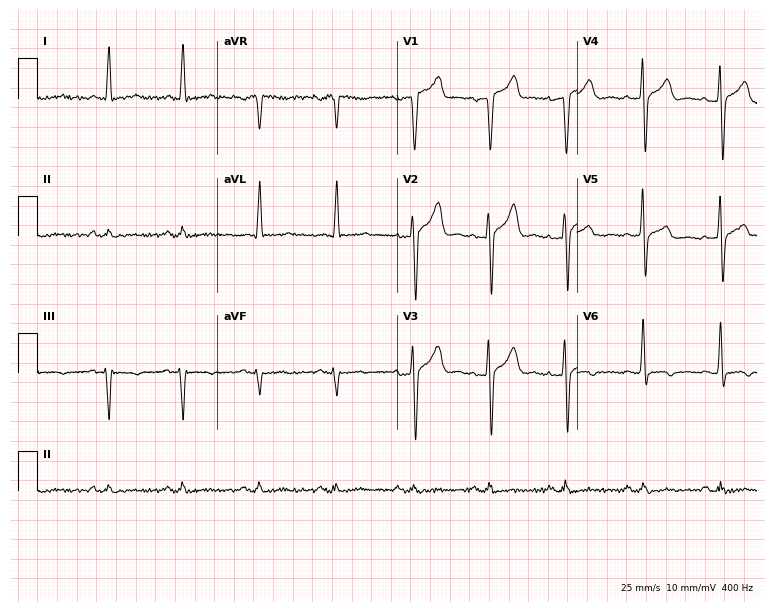
Standard 12-lead ECG recorded from a male, 51 years old (7.3-second recording at 400 Hz). None of these six findings is recorded: first-degree AV block, right bundle branch block, left bundle branch block, sinus bradycardia, atrial fibrillation, sinus tachycardia.